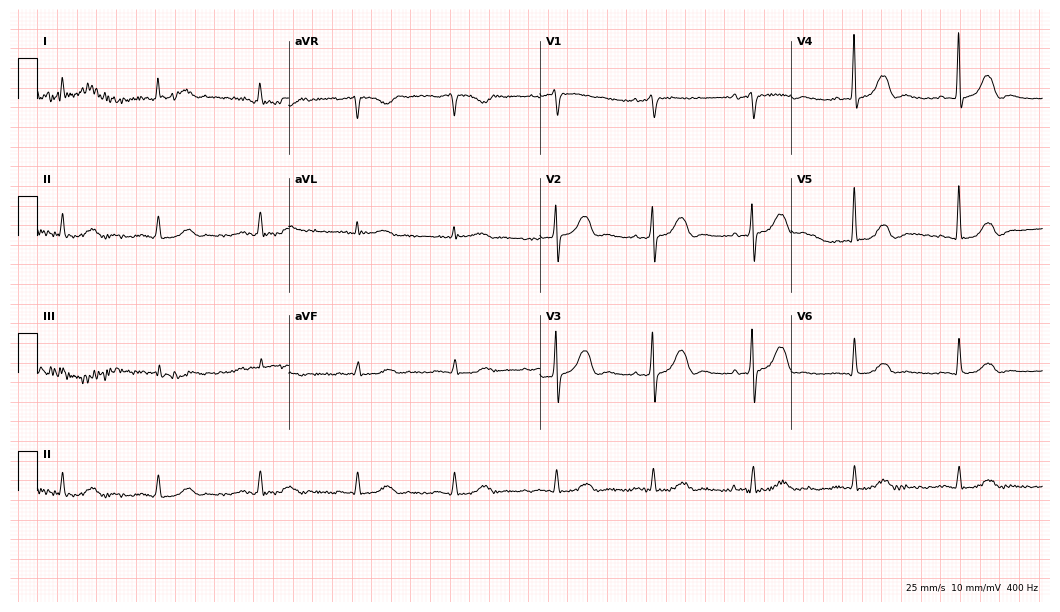
12-lead ECG from a 71-year-old woman. Recorded interpretation: within normal limits.